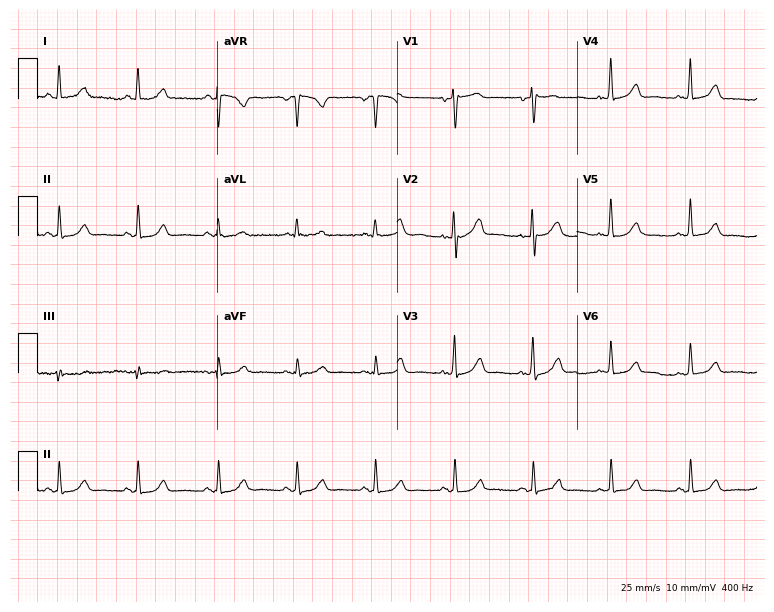
12-lead ECG from a female, 66 years old. Labelled as a normal ECG.